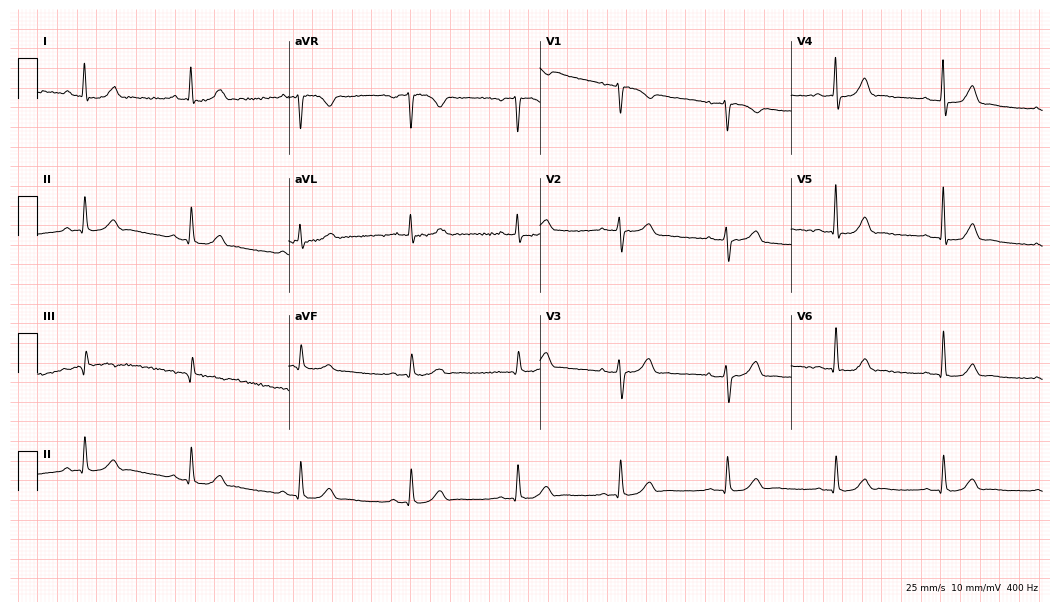
Resting 12-lead electrocardiogram. Patient: a 46-year-old male. Read as a normal ECG.